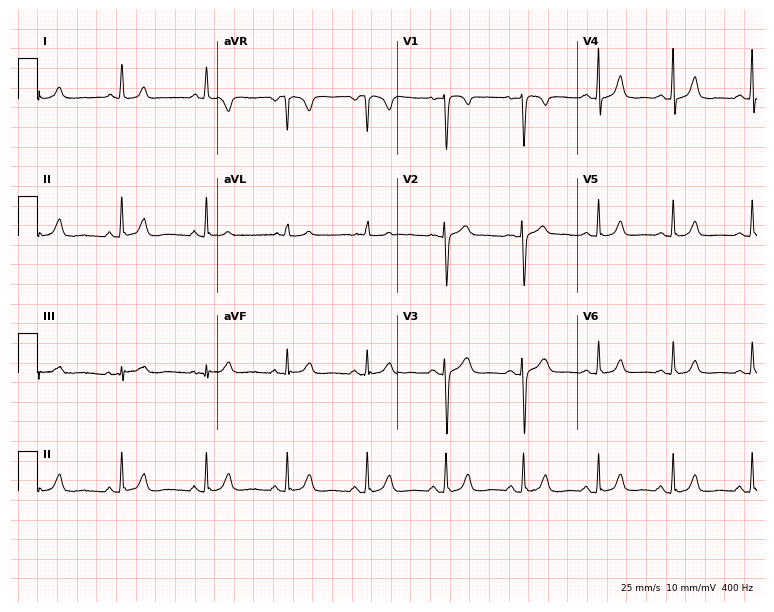
12-lead ECG from a female, 52 years old. Labelled as a normal ECG.